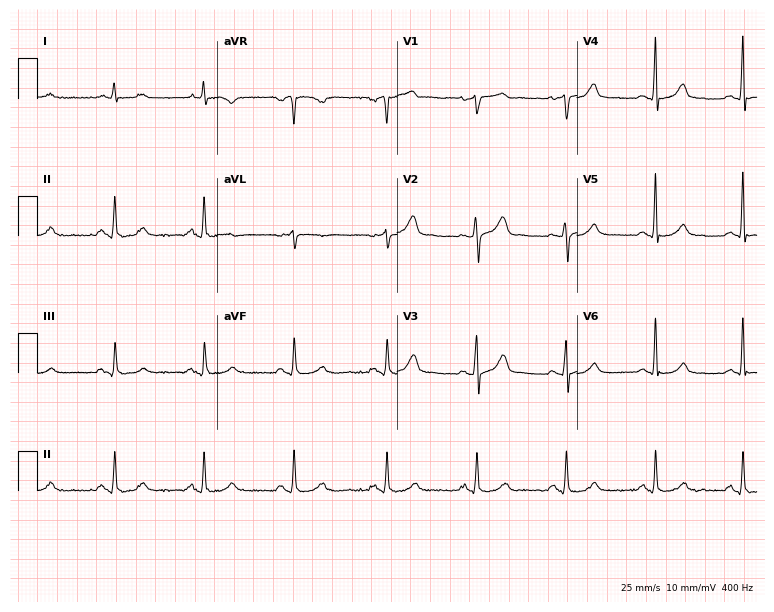
Standard 12-lead ECG recorded from a male patient, 54 years old. Read as a normal ECG.